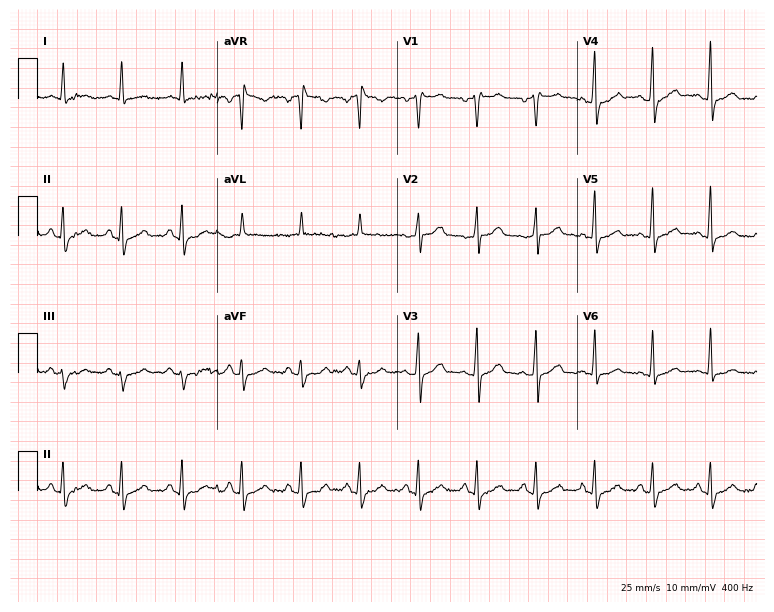
ECG (7.3-second recording at 400 Hz) — a 55-year-old man. Screened for six findings — first-degree AV block, right bundle branch block, left bundle branch block, sinus bradycardia, atrial fibrillation, sinus tachycardia — none is recorded. Only these six findings were labelled.